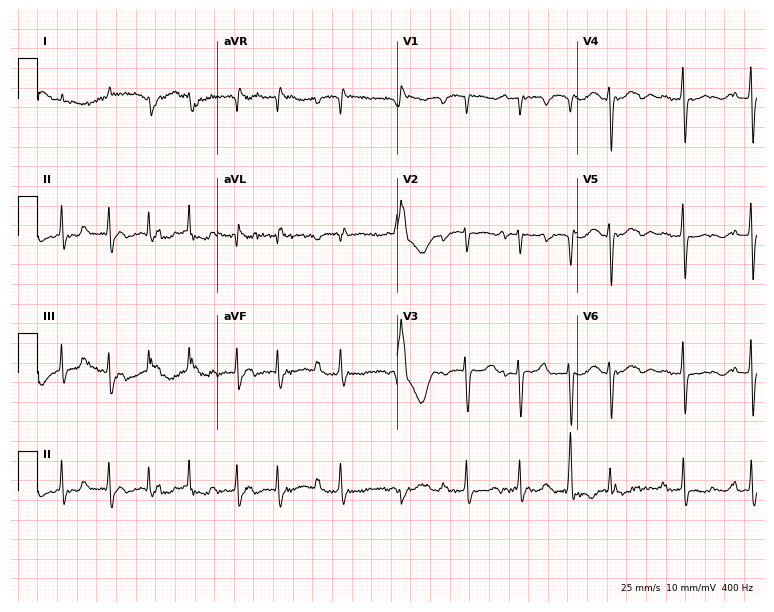
Resting 12-lead electrocardiogram (7.3-second recording at 400 Hz). Patient: an 84-year-old woman. The tracing shows atrial fibrillation.